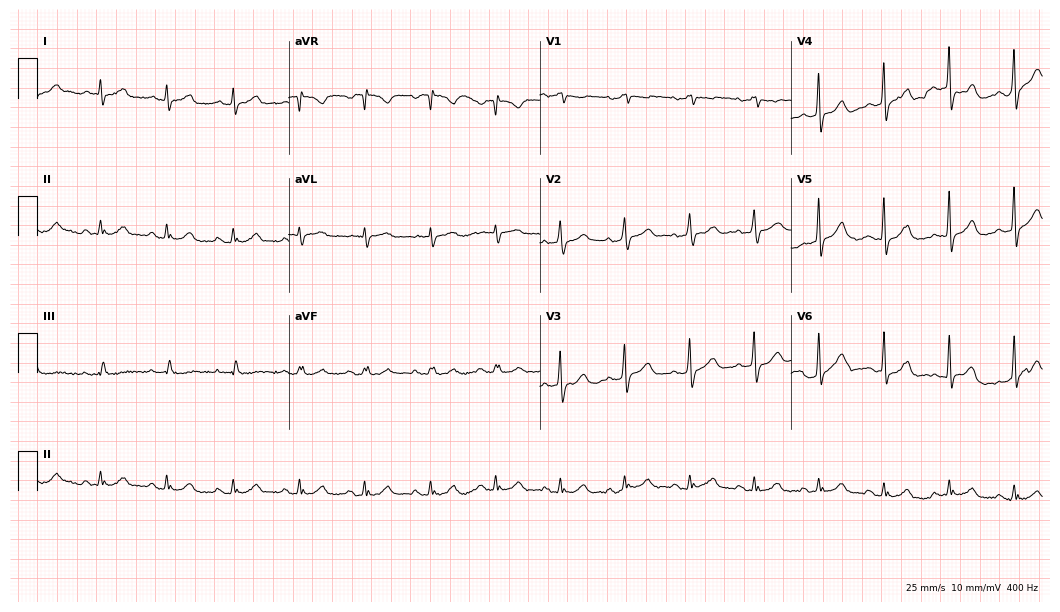
Resting 12-lead electrocardiogram (10.2-second recording at 400 Hz). Patient: a 60-year-old man. Read as a normal ECG.